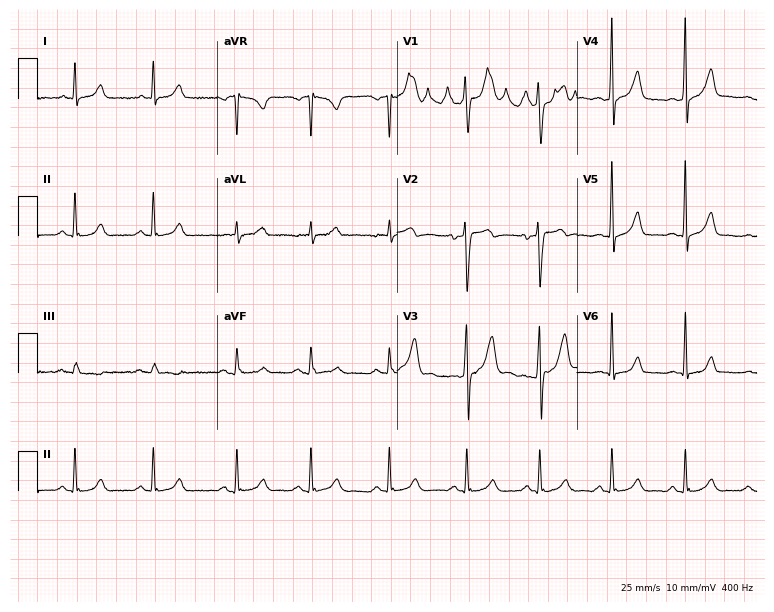
12-lead ECG from a male patient, 30 years old. Recorded interpretation: within normal limits.